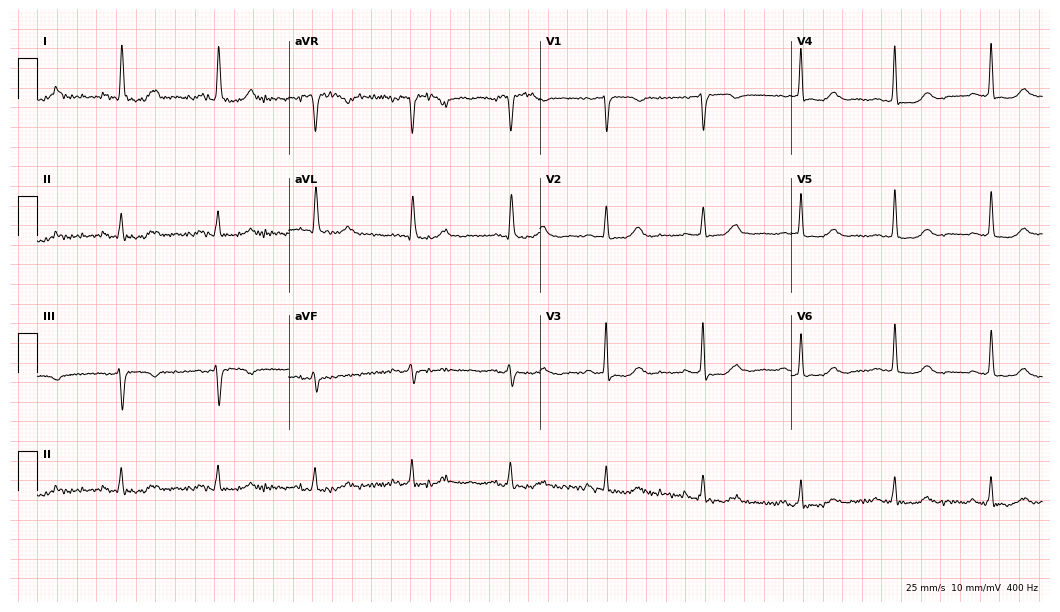
12-lead ECG from a woman, 80 years old. Labelled as a normal ECG.